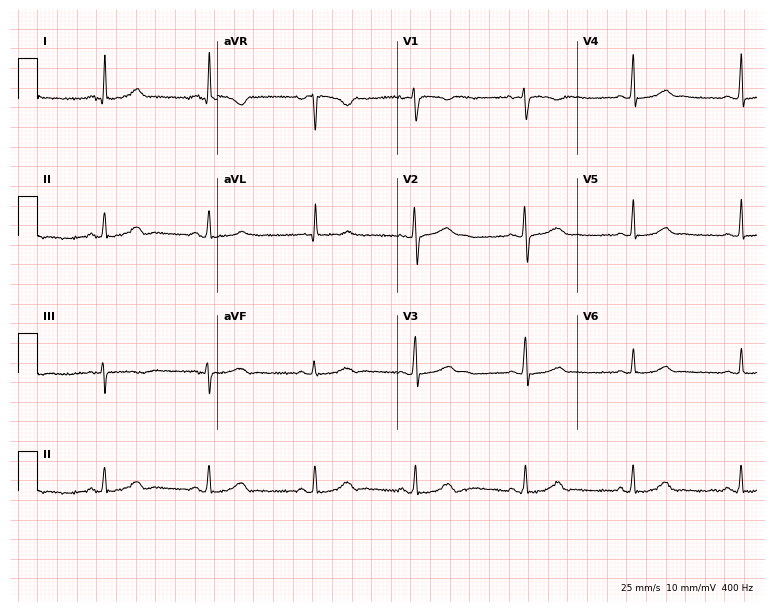
Electrocardiogram, a 28-year-old woman. Overall reading on record: normal ECG.